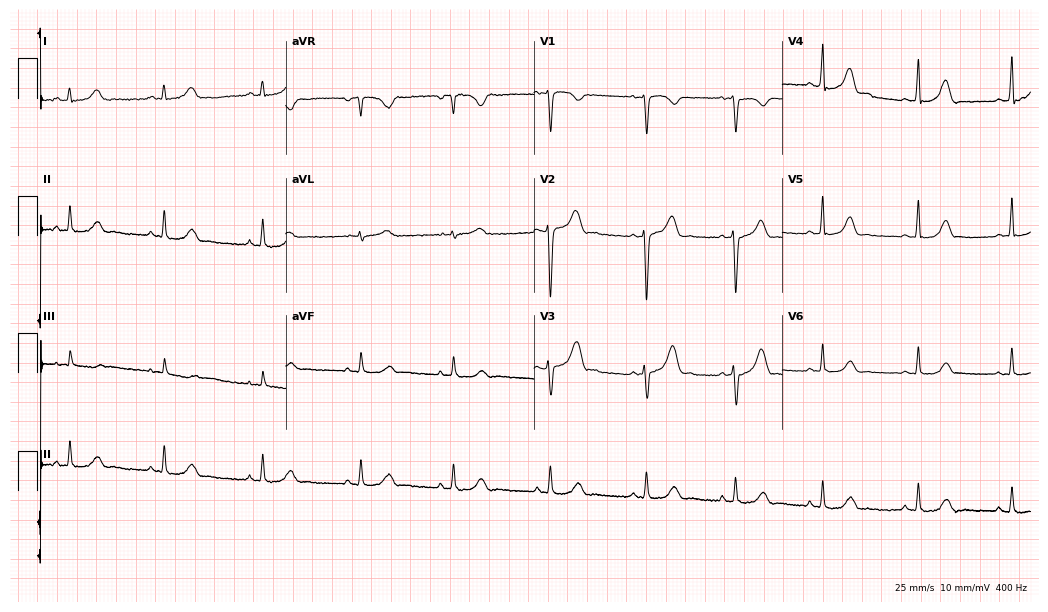
Standard 12-lead ECG recorded from a 30-year-old woman (10.1-second recording at 400 Hz). Read as a normal ECG.